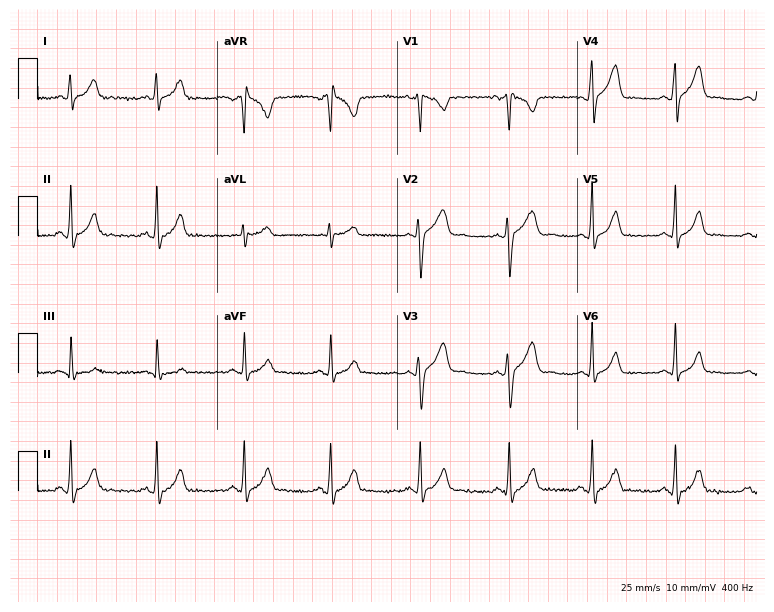
ECG — a 21-year-old man. Labelled as a normal ECG.